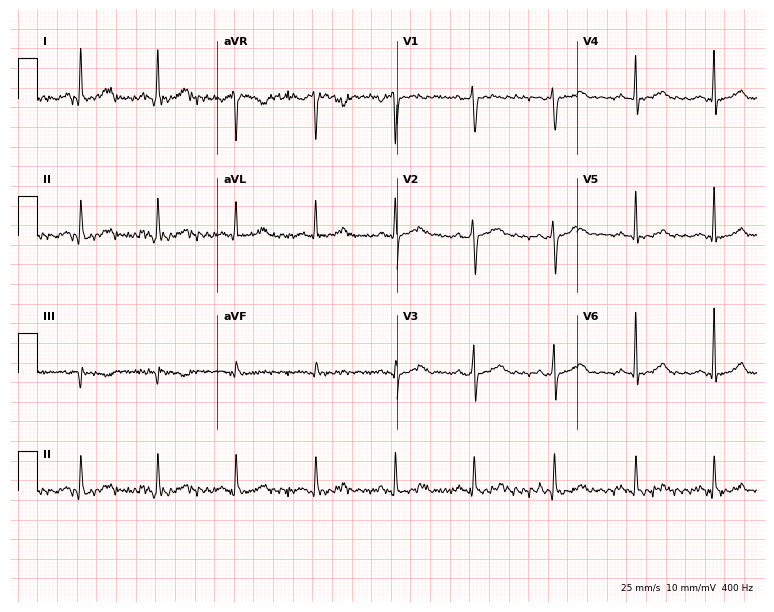
Standard 12-lead ECG recorded from a woman, 40 years old. None of these six findings is recorded: first-degree AV block, right bundle branch block, left bundle branch block, sinus bradycardia, atrial fibrillation, sinus tachycardia. Findings outside these six are not listed.